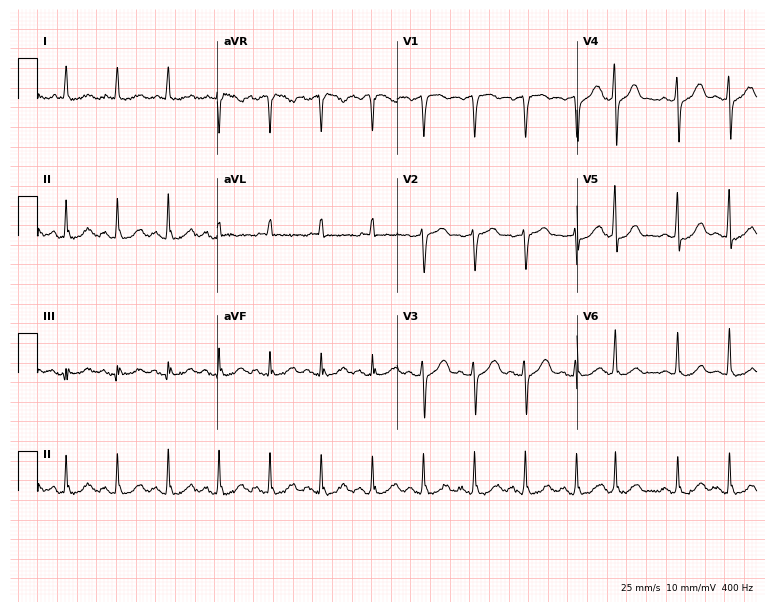
12-lead ECG from a 72-year-old male (7.3-second recording at 400 Hz). Shows sinus tachycardia (a sinus rate of 100 beats per minute or more).